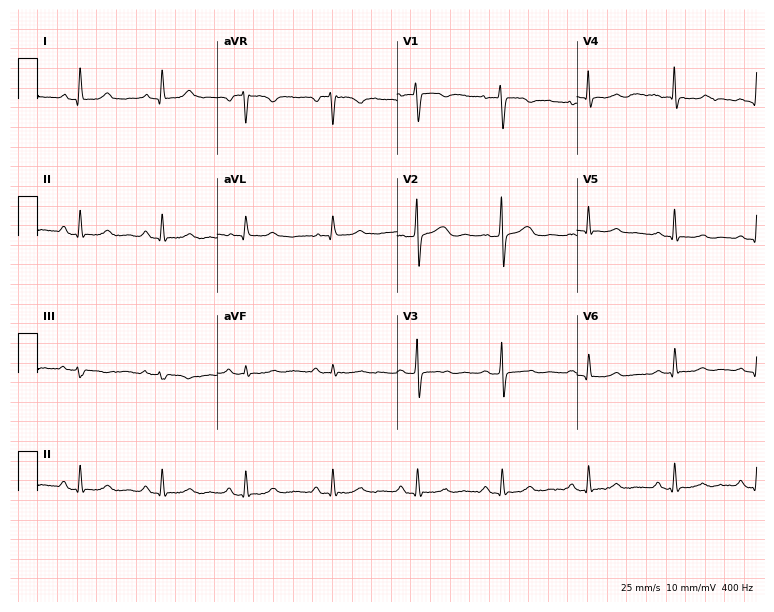
Resting 12-lead electrocardiogram. Patient: a female, 31 years old. None of these six findings is recorded: first-degree AV block, right bundle branch block, left bundle branch block, sinus bradycardia, atrial fibrillation, sinus tachycardia.